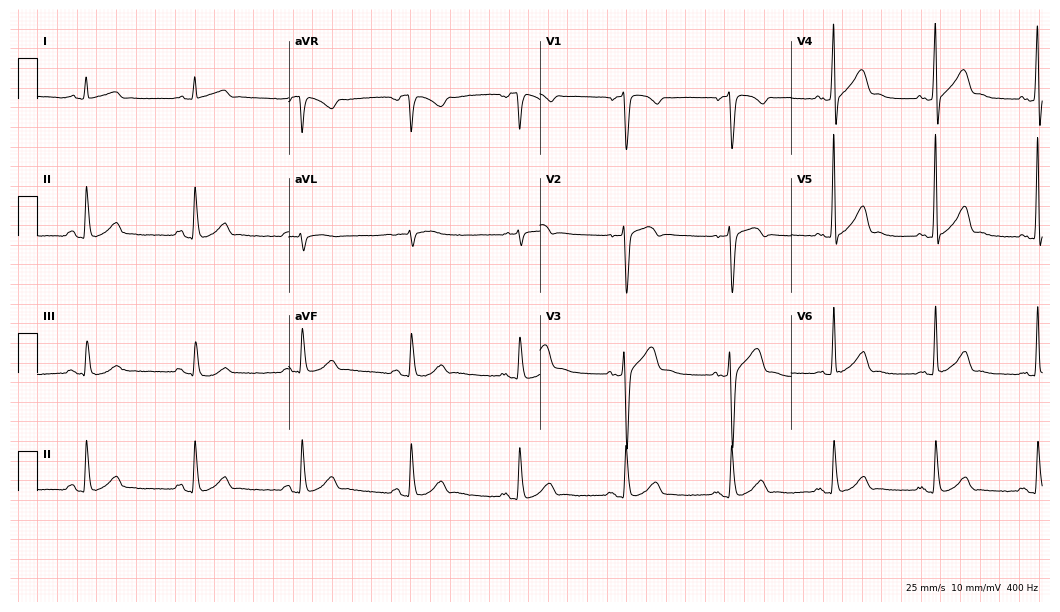
ECG — a male, 49 years old. Screened for six findings — first-degree AV block, right bundle branch block (RBBB), left bundle branch block (LBBB), sinus bradycardia, atrial fibrillation (AF), sinus tachycardia — none is recorded. Only these six findings were labelled.